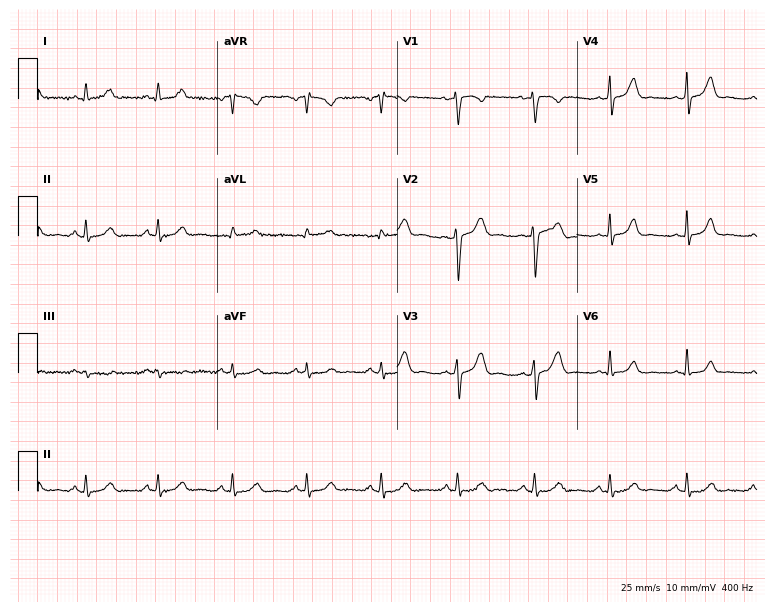
12-lead ECG from a female patient, 28 years old. No first-degree AV block, right bundle branch block, left bundle branch block, sinus bradycardia, atrial fibrillation or sinus tachycardia recorded for this tracing. Findings outside these six are not listed.